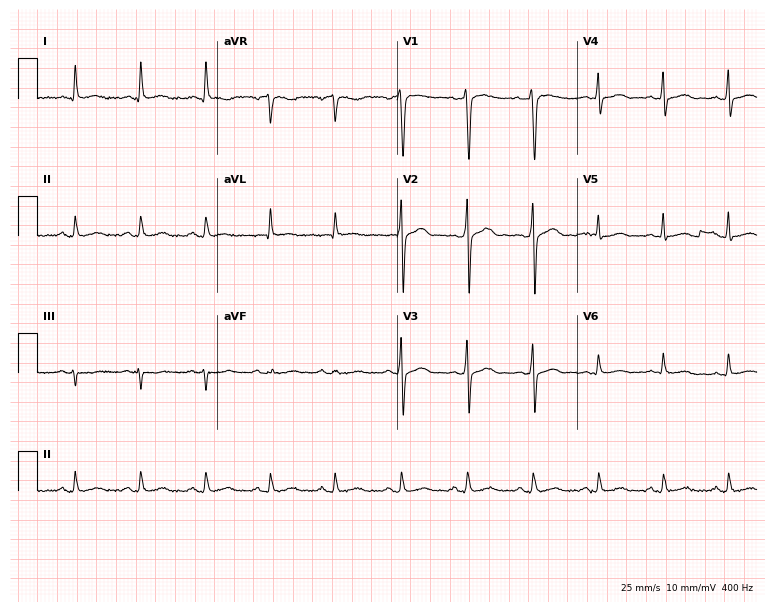
12-lead ECG from a male, 48 years old. Screened for six findings — first-degree AV block, right bundle branch block, left bundle branch block, sinus bradycardia, atrial fibrillation, sinus tachycardia — none is recorded.